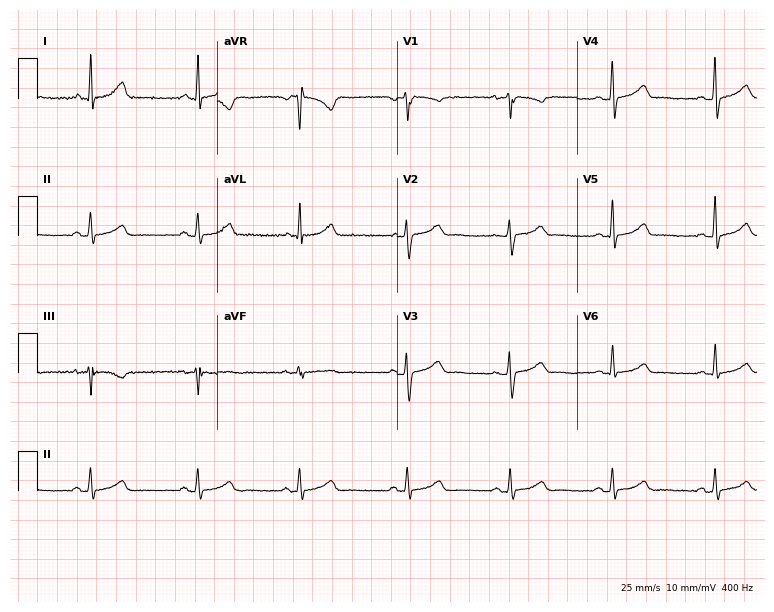
Resting 12-lead electrocardiogram. Patient: a 36-year-old female. Read as a normal ECG.